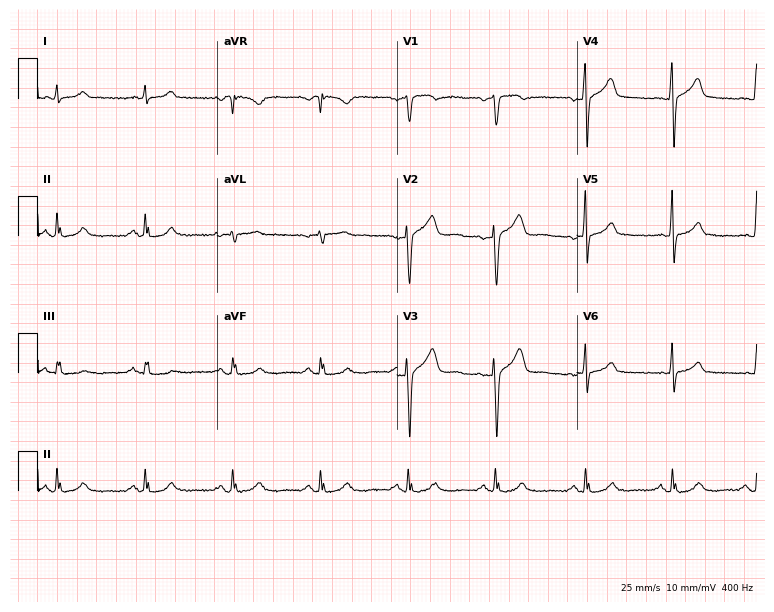
Electrocardiogram, a 60-year-old male. Overall reading on record: normal ECG.